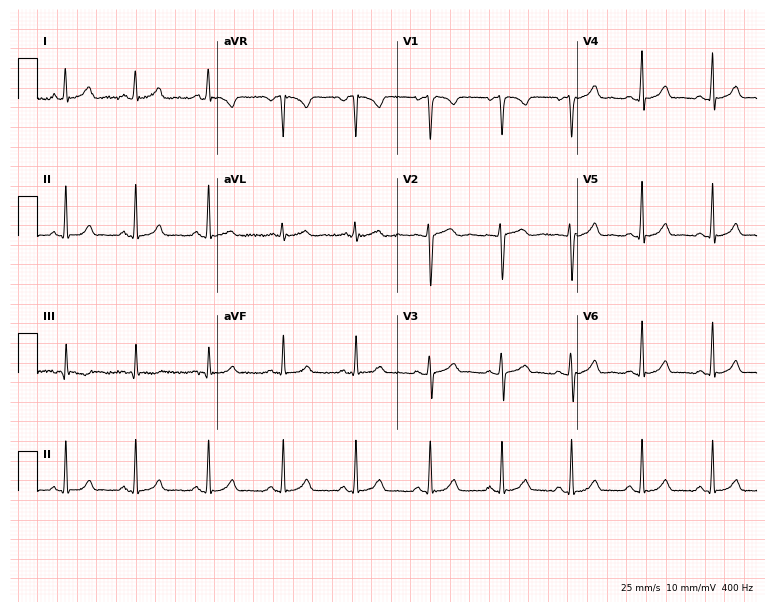
ECG — a 24-year-old female. Labelled as a normal ECG.